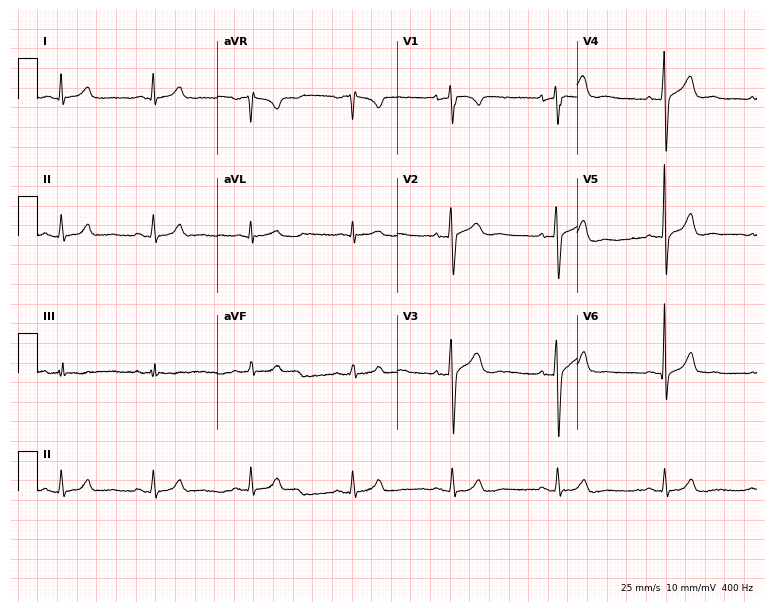
12-lead ECG from a man, 37 years old (7.3-second recording at 400 Hz). Recorded interpretation: within normal limits.